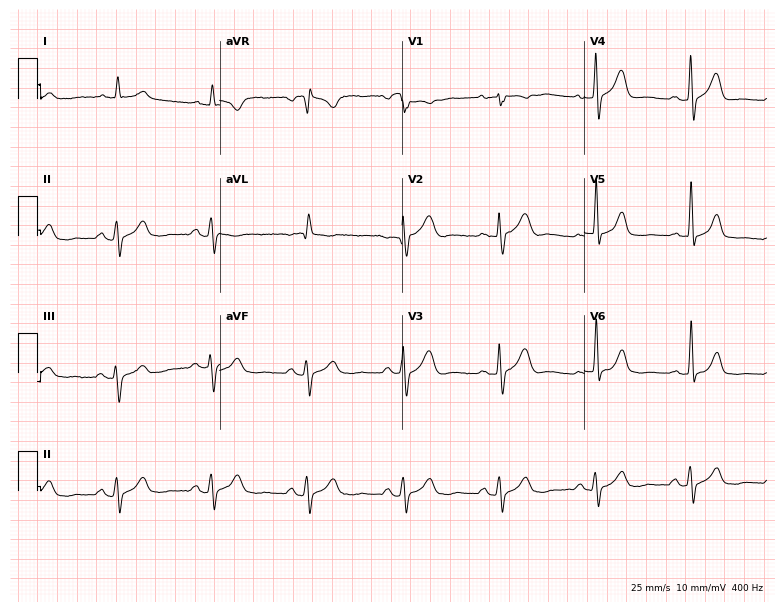
12-lead ECG from a female, 74 years old (7.4-second recording at 400 Hz). No first-degree AV block, right bundle branch block (RBBB), left bundle branch block (LBBB), sinus bradycardia, atrial fibrillation (AF) or sinus tachycardia recorded for this tracing. Other findings, if any, are not listed.